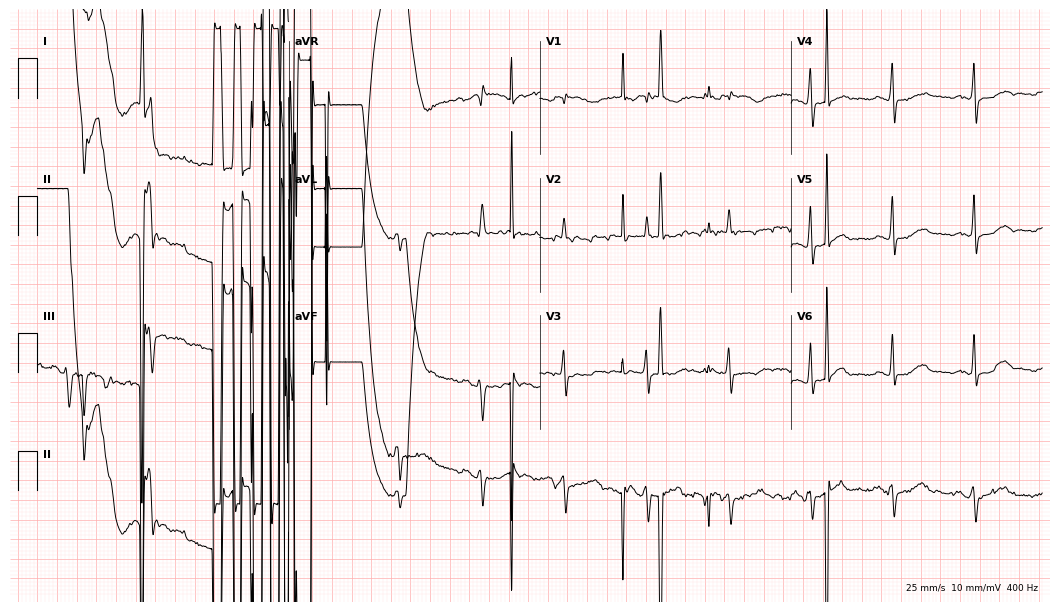
Electrocardiogram, a female patient, 80 years old. Of the six screened findings (first-degree AV block, right bundle branch block, left bundle branch block, sinus bradycardia, atrial fibrillation, sinus tachycardia), none is recorded. Only these six findings were labelled.